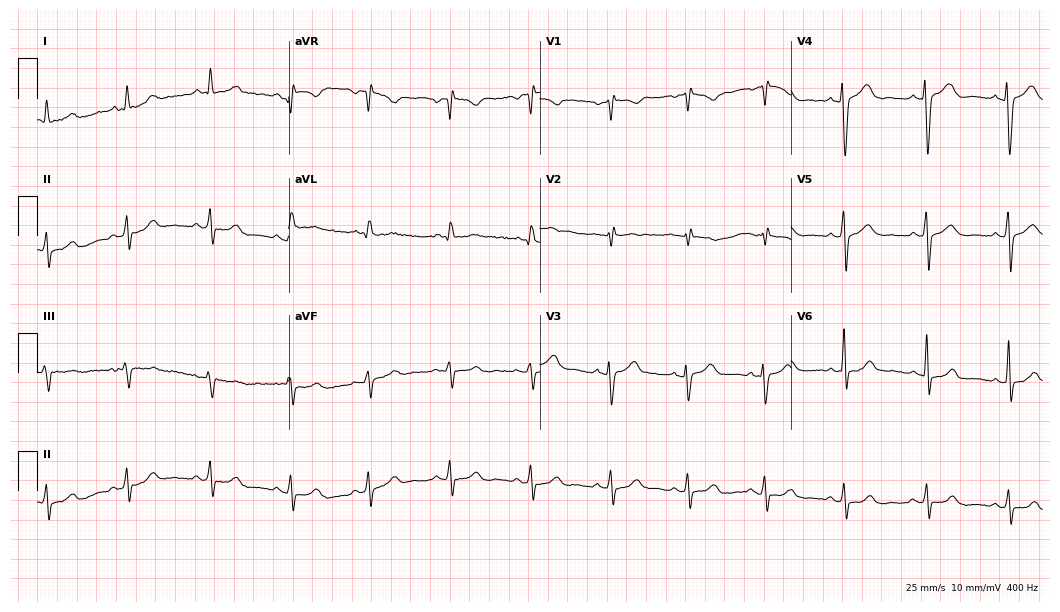
Resting 12-lead electrocardiogram. Patient: a 39-year-old female. None of these six findings is recorded: first-degree AV block, right bundle branch block, left bundle branch block, sinus bradycardia, atrial fibrillation, sinus tachycardia. Other findings, if any, are not listed.